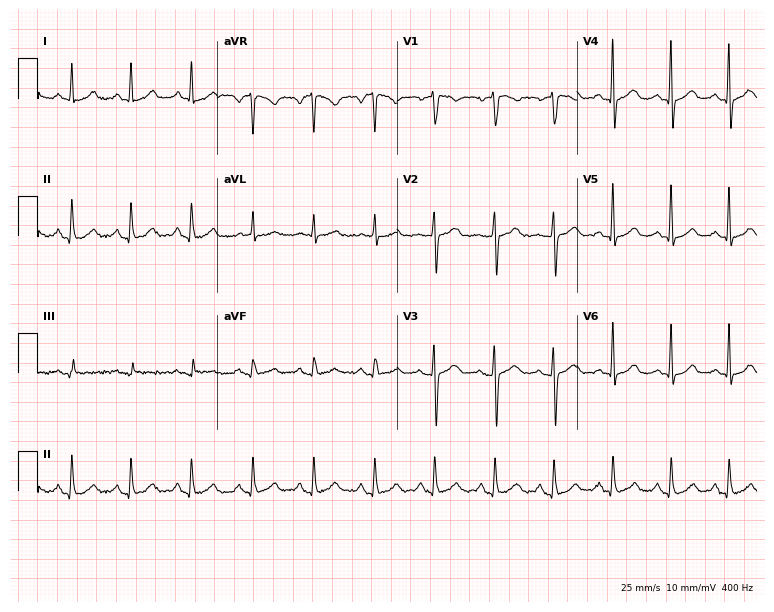
12-lead ECG from a man, 46 years old. Recorded interpretation: within normal limits.